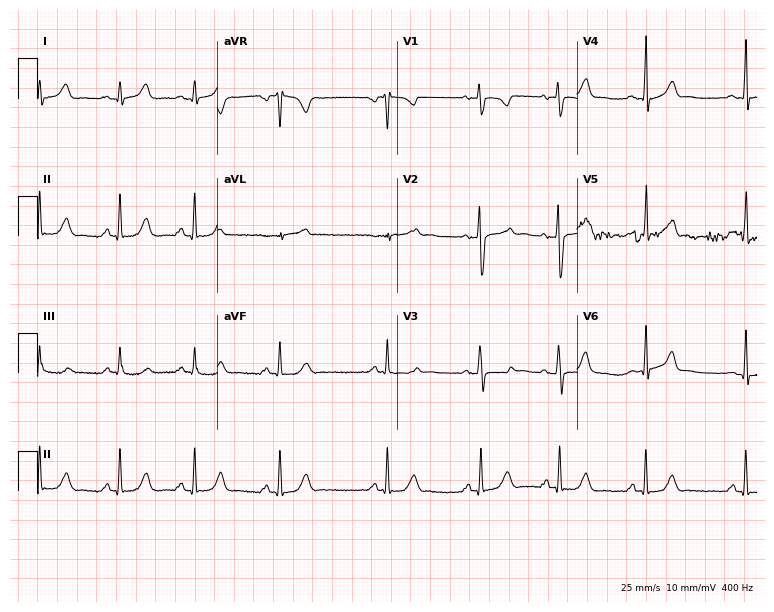
Standard 12-lead ECG recorded from a female, 19 years old (7.3-second recording at 400 Hz). None of these six findings is recorded: first-degree AV block, right bundle branch block (RBBB), left bundle branch block (LBBB), sinus bradycardia, atrial fibrillation (AF), sinus tachycardia. Findings outside these six are not listed.